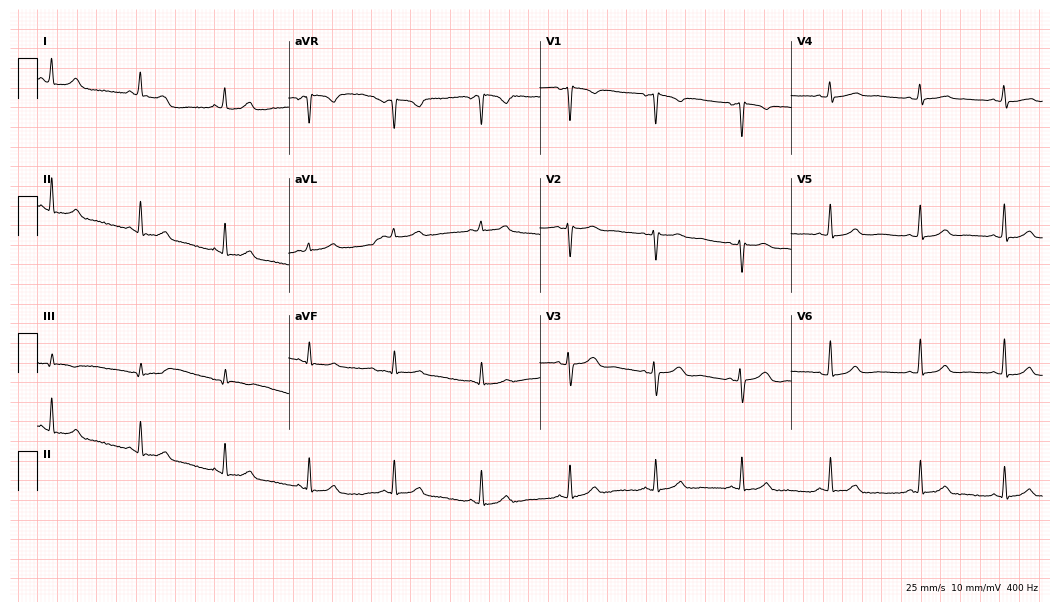
12-lead ECG (10.2-second recording at 400 Hz) from a 33-year-old female. Labelled as a normal ECG.